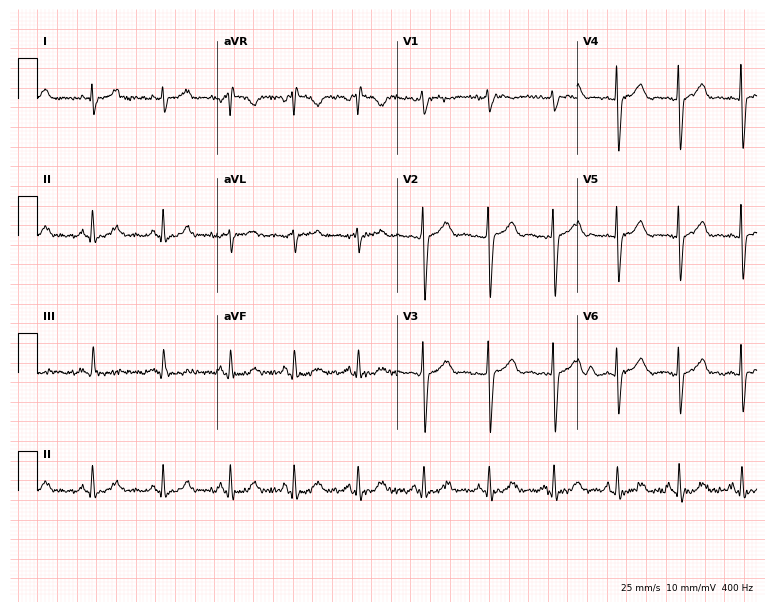
Resting 12-lead electrocardiogram. Patient: a female, 28 years old. None of these six findings is recorded: first-degree AV block, right bundle branch block, left bundle branch block, sinus bradycardia, atrial fibrillation, sinus tachycardia. Findings outside these six are not listed.